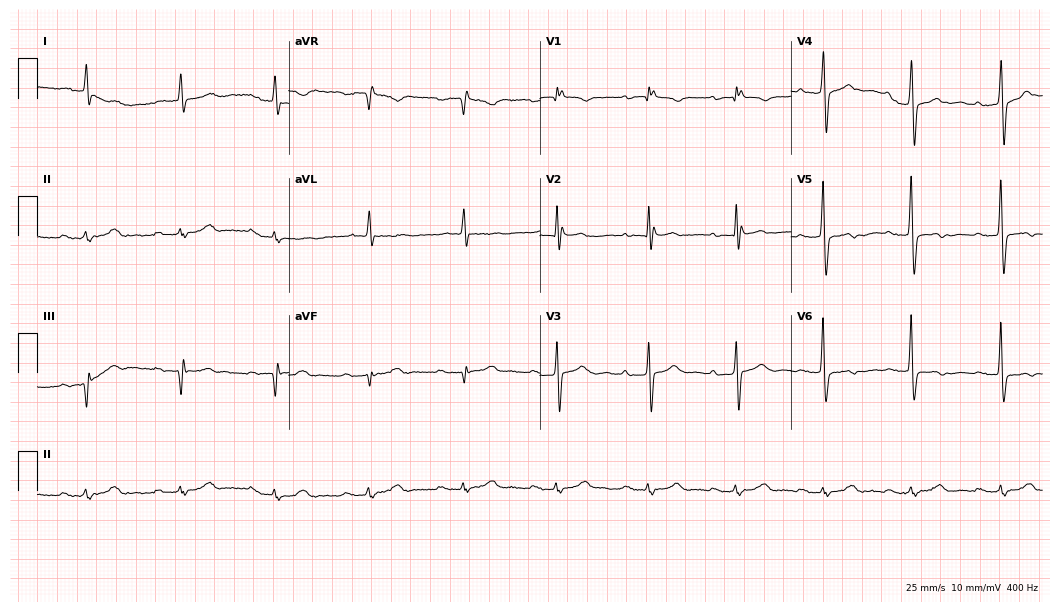
12-lead ECG (10.2-second recording at 400 Hz) from a male, 79 years old. Findings include first-degree AV block.